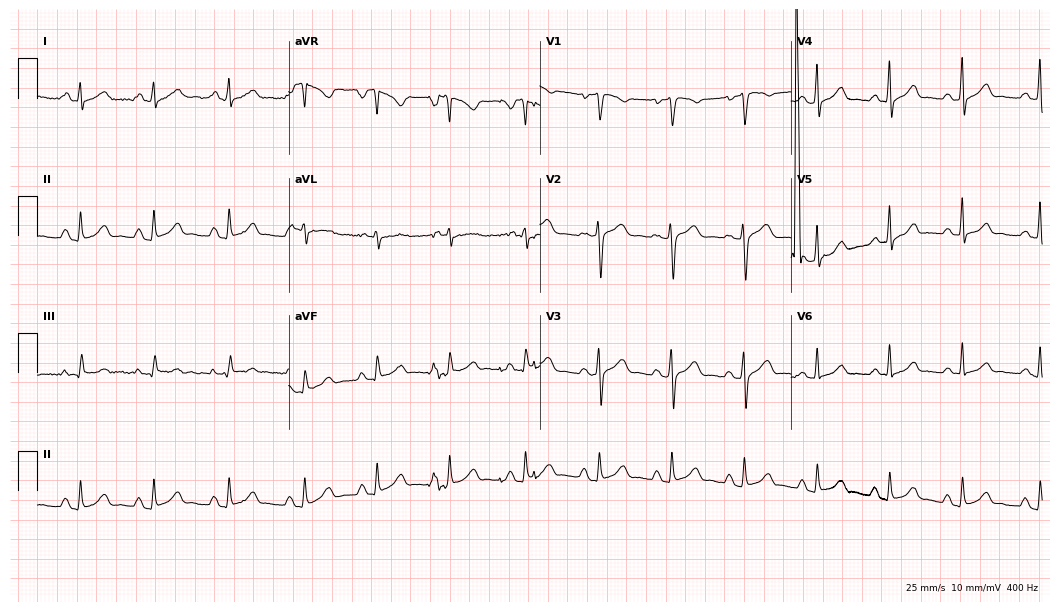
12-lead ECG (10.2-second recording at 400 Hz) from a woman, 33 years old. Screened for six findings — first-degree AV block, right bundle branch block (RBBB), left bundle branch block (LBBB), sinus bradycardia, atrial fibrillation (AF), sinus tachycardia — none is recorded.